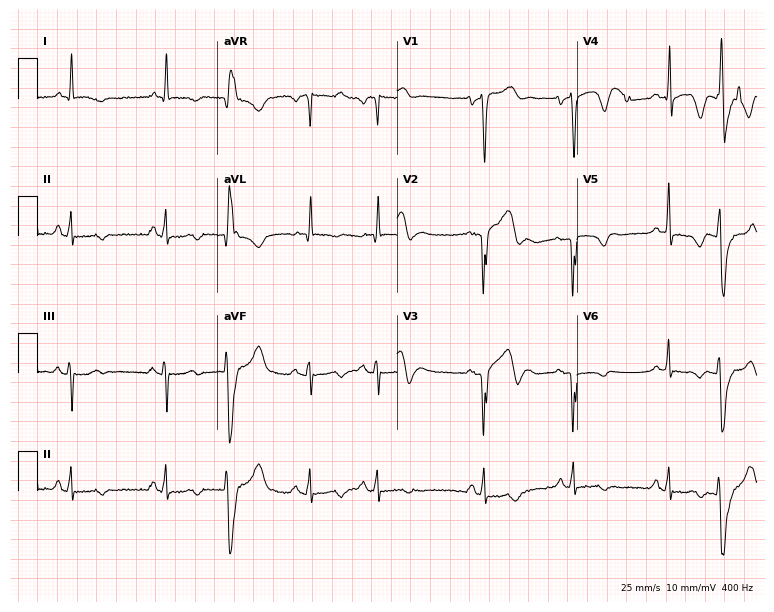
12-lead ECG from a male patient, 69 years old. No first-degree AV block, right bundle branch block (RBBB), left bundle branch block (LBBB), sinus bradycardia, atrial fibrillation (AF) or sinus tachycardia recorded for this tracing. Findings outside these six are not listed.